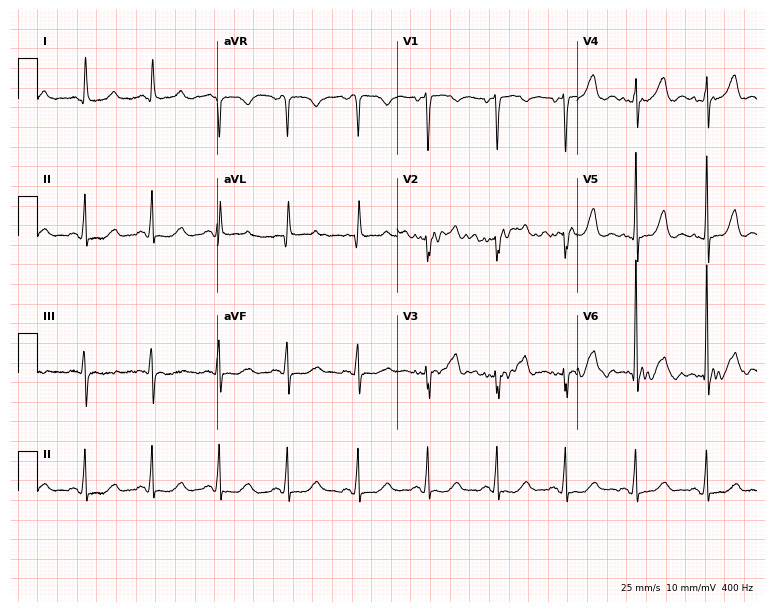
Resting 12-lead electrocardiogram. Patient: a female, 59 years old. None of these six findings is recorded: first-degree AV block, right bundle branch block, left bundle branch block, sinus bradycardia, atrial fibrillation, sinus tachycardia. Findings outside these six are not listed.